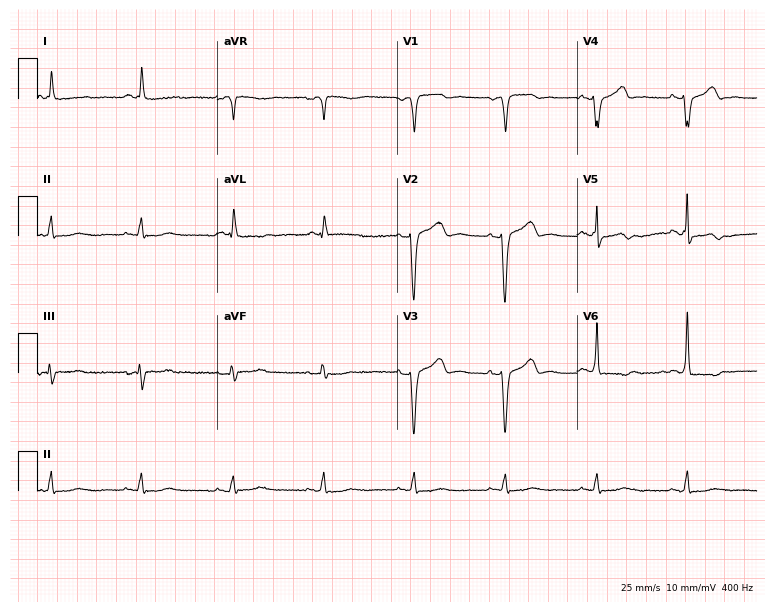
Electrocardiogram (7.3-second recording at 400 Hz), a 75-year-old male. Of the six screened findings (first-degree AV block, right bundle branch block (RBBB), left bundle branch block (LBBB), sinus bradycardia, atrial fibrillation (AF), sinus tachycardia), none is recorded. Other findings, if any, are not listed.